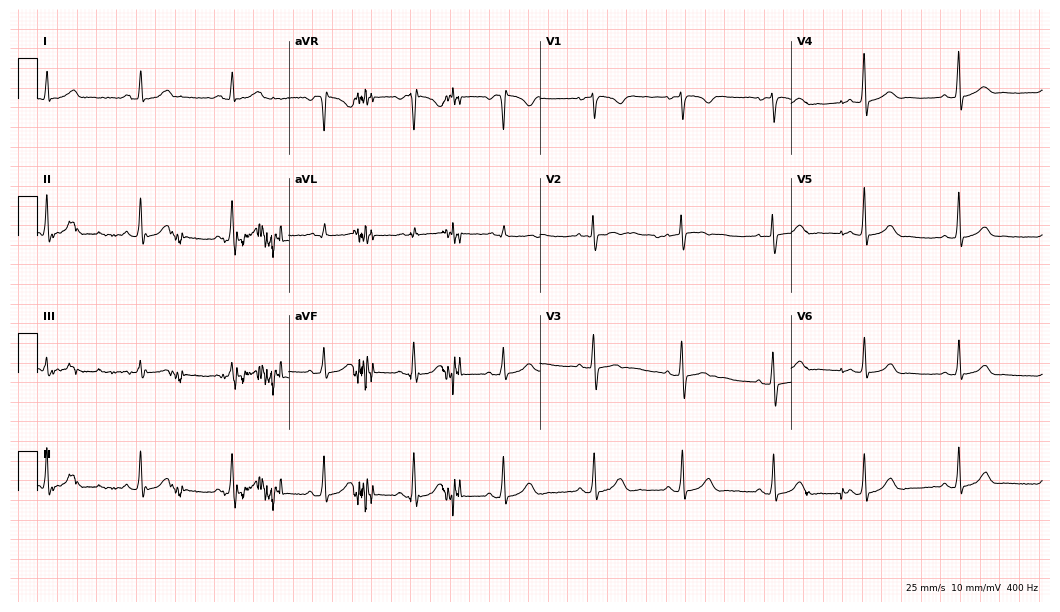
Electrocardiogram (10.2-second recording at 400 Hz), a female patient, 42 years old. Of the six screened findings (first-degree AV block, right bundle branch block, left bundle branch block, sinus bradycardia, atrial fibrillation, sinus tachycardia), none is recorded.